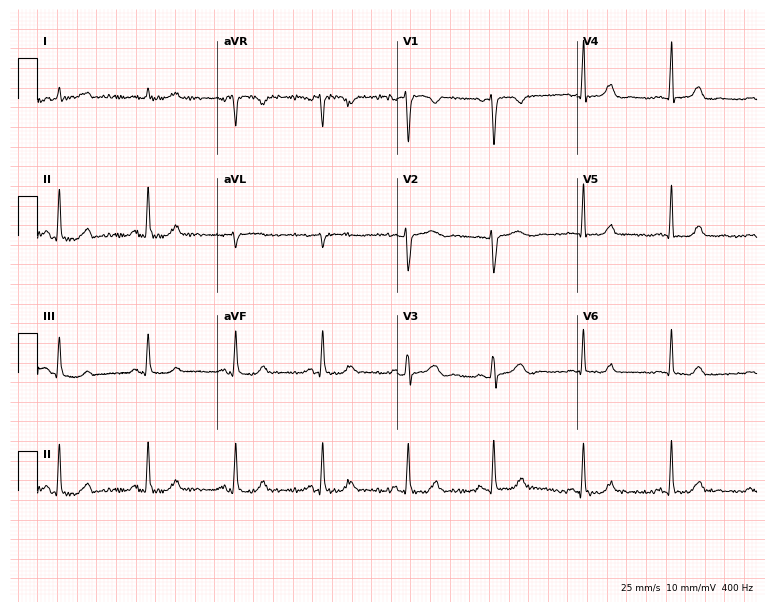
12-lead ECG (7.3-second recording at 400 Hz) from a female, 45 years old. Labelled as a normal ECG.